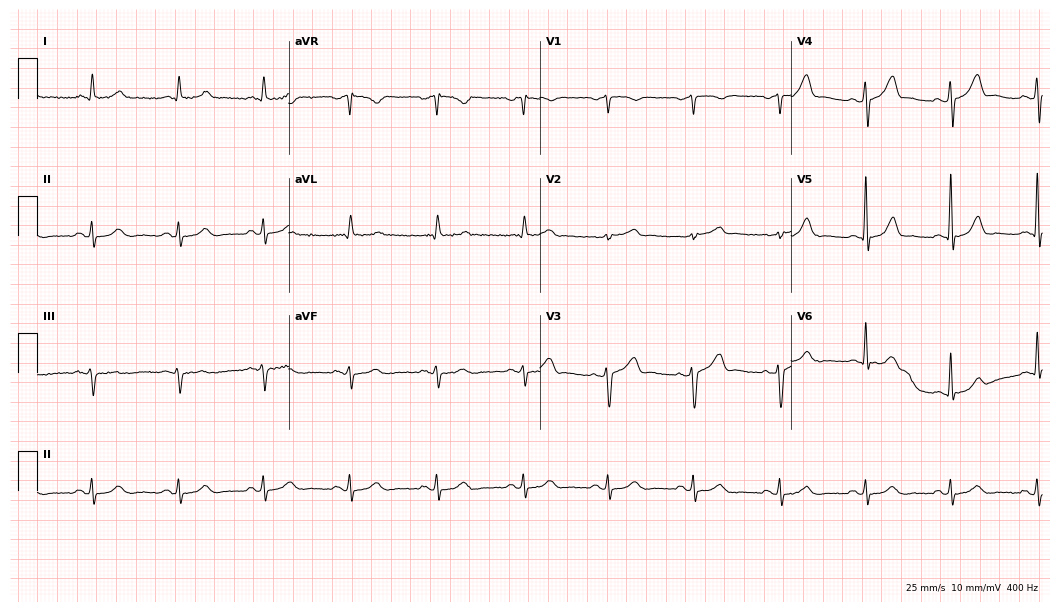
ECG (10.2-second recording at 400 Hz) — a 65-year-old male. Labelled as a normal ECG.